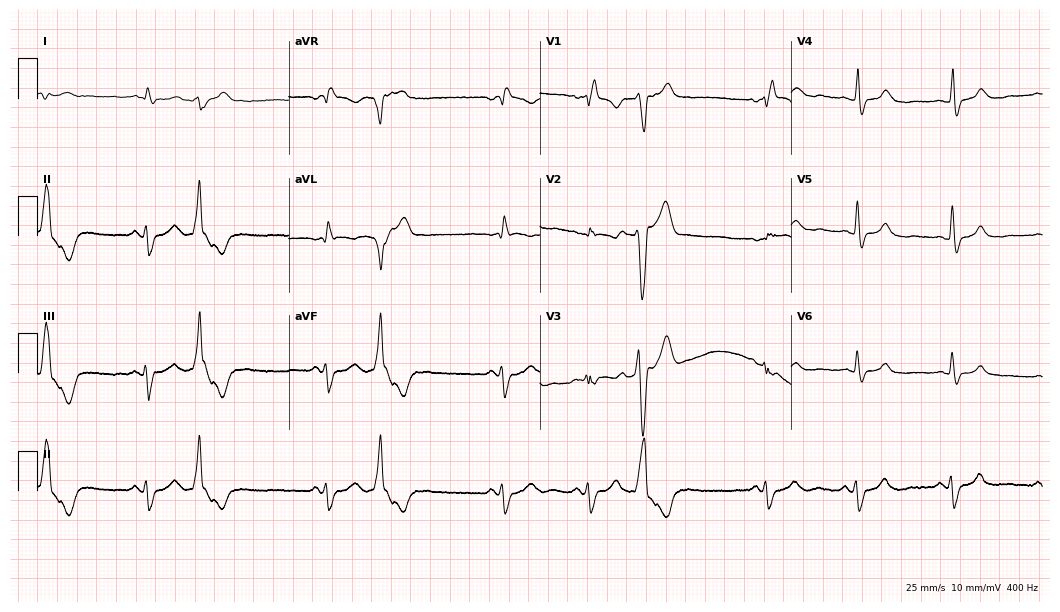
ECG — a 60-year-old man. Findings include right bundle branch block (RBBB).